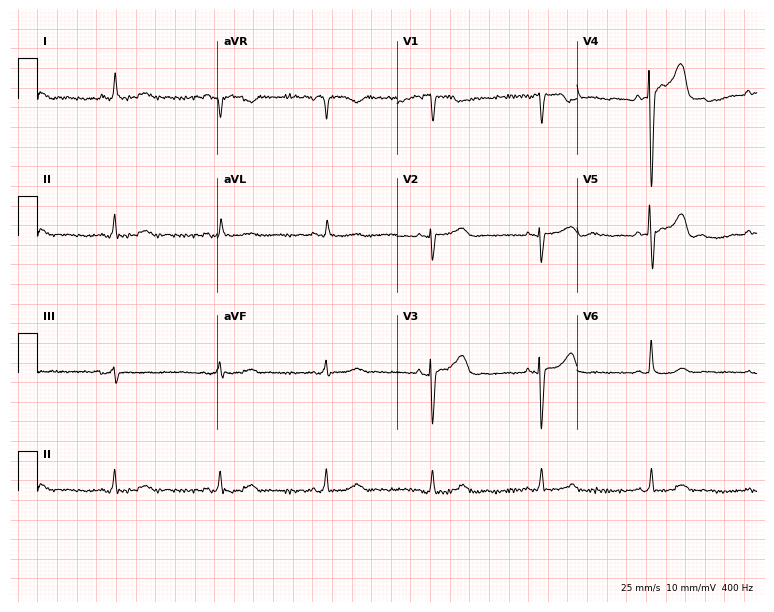
12-lead ECG from a 65-year-old male patient. Labelled as a normal ECG.